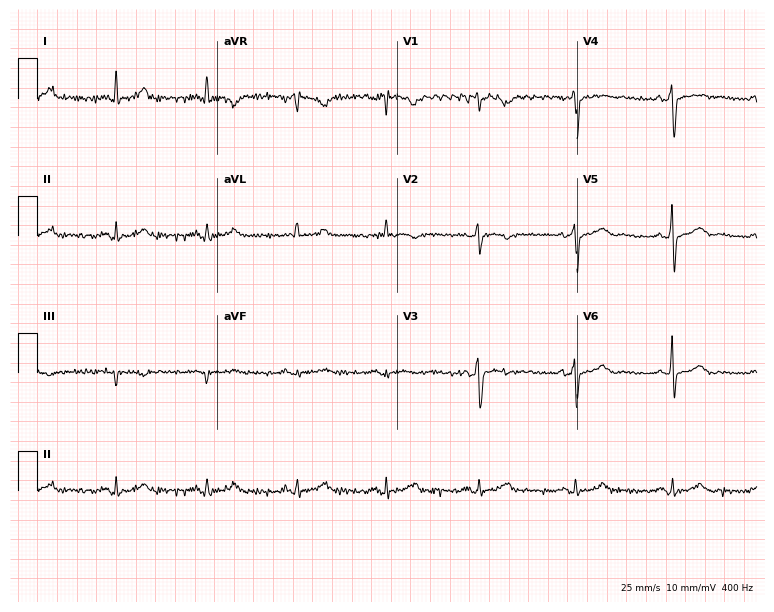
Standard 12-lead ECG recorded from a 59-year-old male. None of these six findings is recorded: first-degree AV block, right bundle branch block (RBBB), left bundle branch block (LBBB), sinus bradycardia, atrial fibrillation (AF), sinus tachycardia. Only these six findings were labelled.